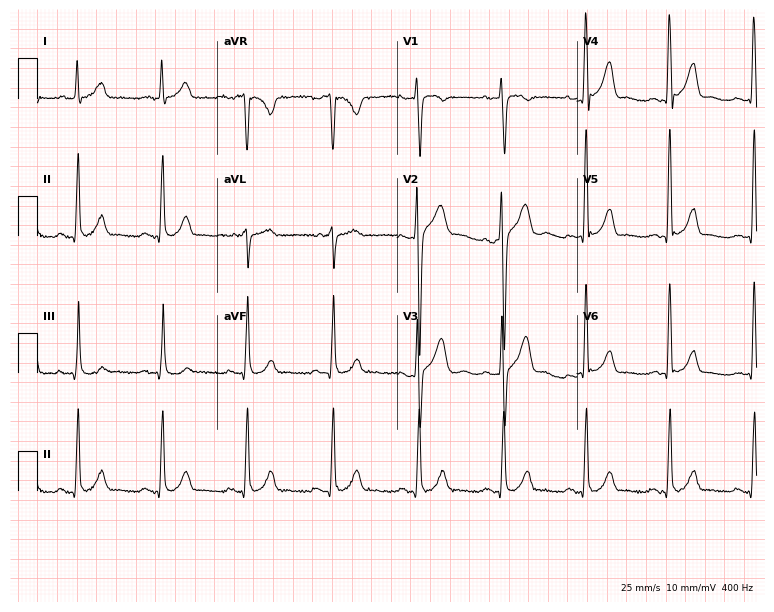
12-lead ECG from a male patient, 39 years old (7.3-second recording at 400 Hz). No first-degree AV block, right bundle branch block (RBBB), left bundle branch block (LBBB), sinus bradycardia, atrial fibrillation (AF) or sinus tachycardia recorded for this tracing.